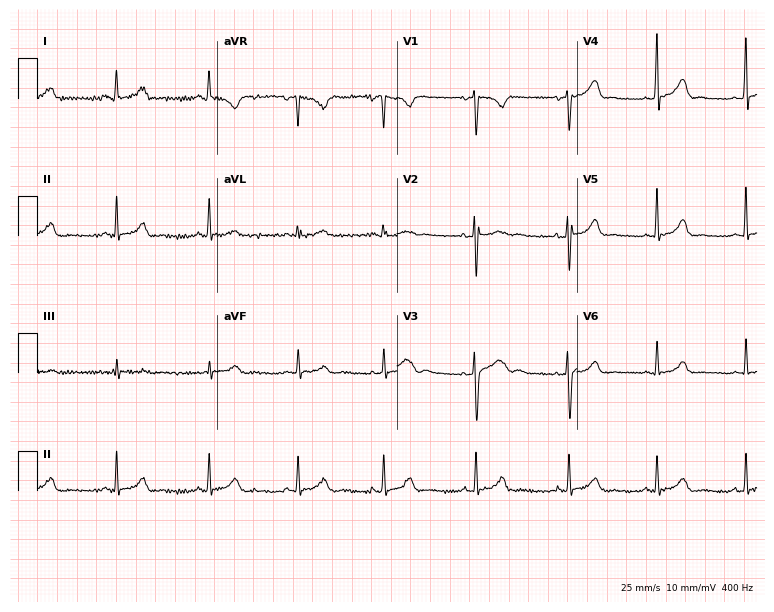
12-lead ECG from a 26-year-old female. Labelled as a normal ECG.